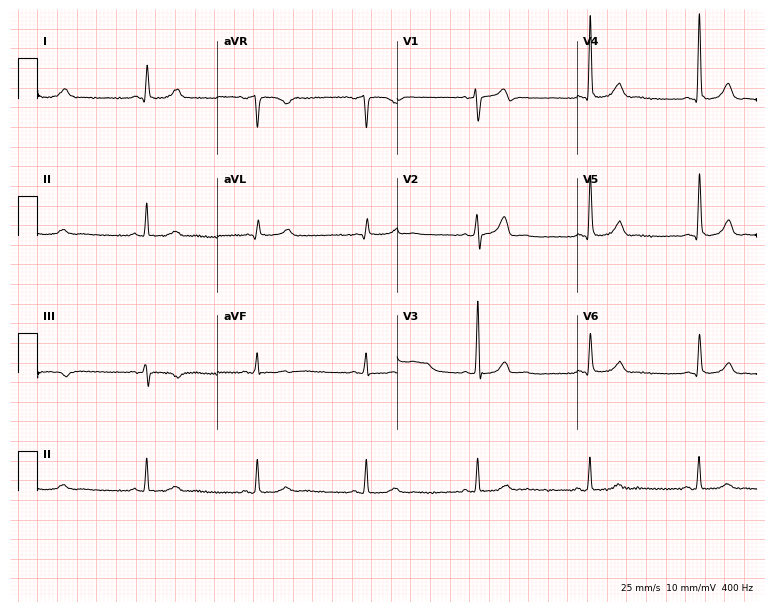
12-lead ECG from a 75-year-old male (7.3-second recording at 400 Hz). No first-degree AV block, right bundle branch block (RBBB), left bundle branch block (LBBB), sinus bradycardia, atrial fibrillation (AF) or sinus tachycardia recorded for this tracing. Other findings, if any, are not listed.